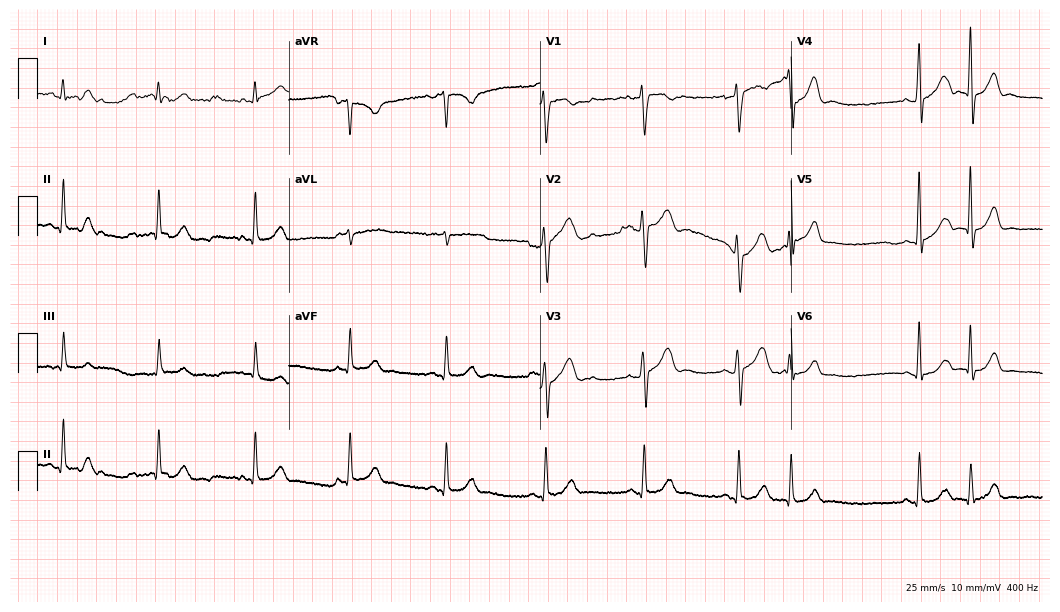
12-lead ECG from a man, 65 years old. Labelled as a normal ECG.